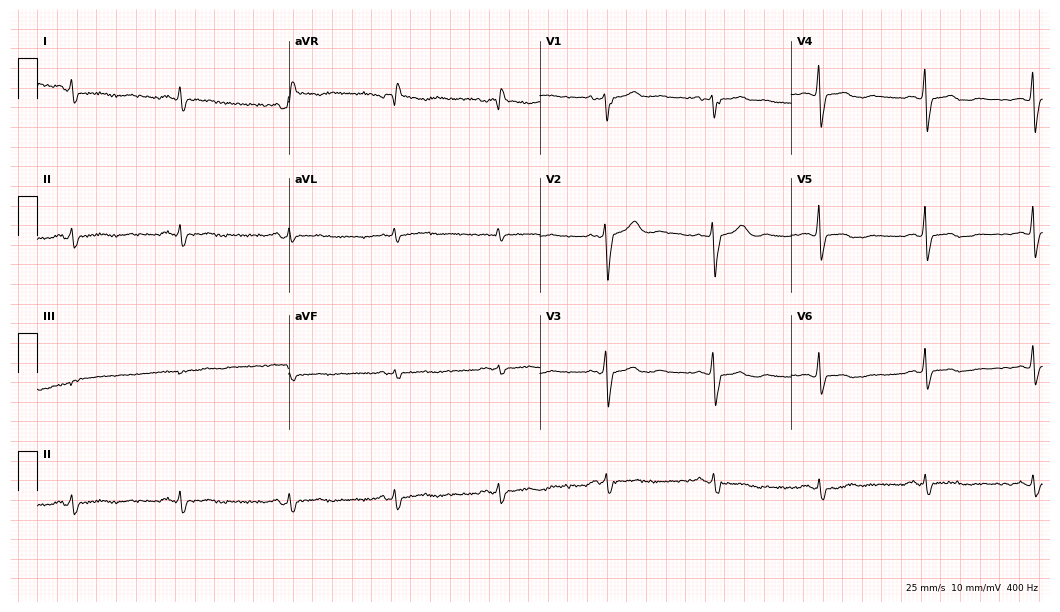
Standard 12-lead ECG recorded from a 56-year-old man. None of these six findings is recorded: first-degree AV block, right bundle branch block (RBBB), left bundle branch block (LBBB), sinus bradycardia, atrial fibrillation (AF), sinus tachycardia.